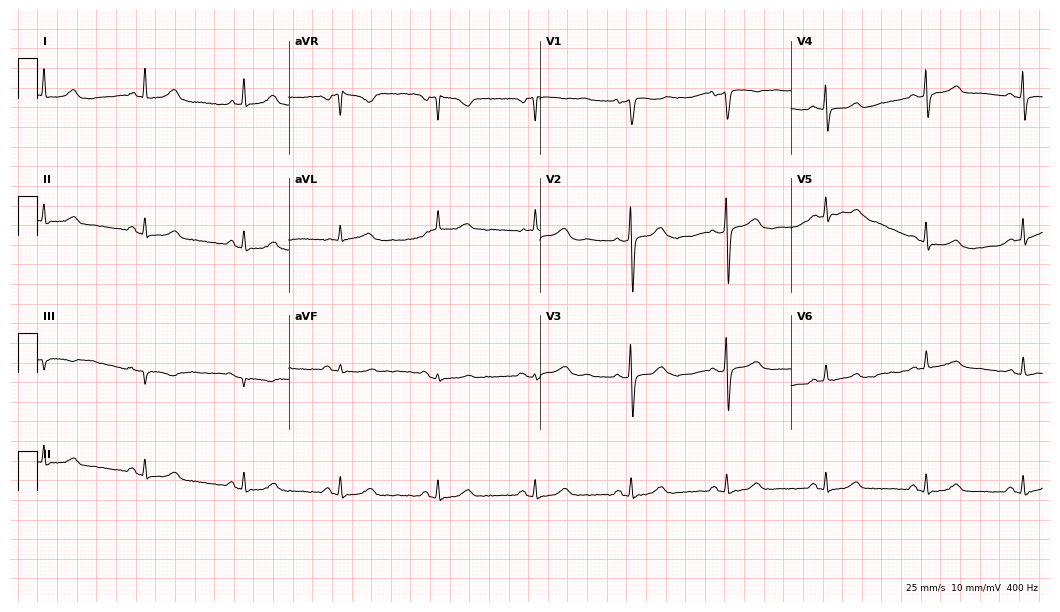
12-lead ECG (10.2-second recording at 400 Hz) from a woman, 68 years old. Labelled as a normal ECG.